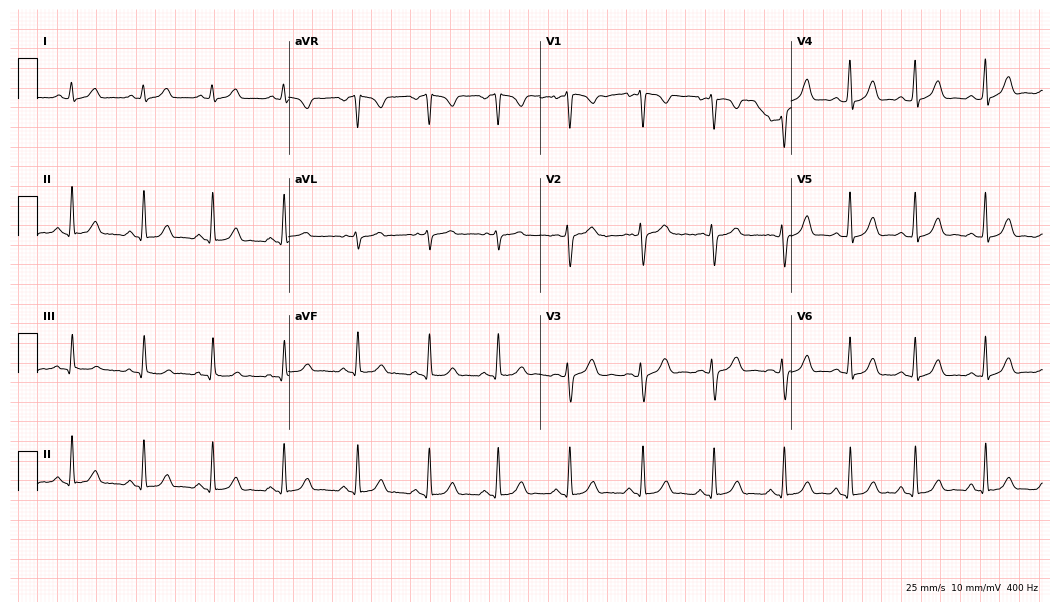
Electrocardiogram, a woman, 24 years old. Overall reading on record: normal ECG.